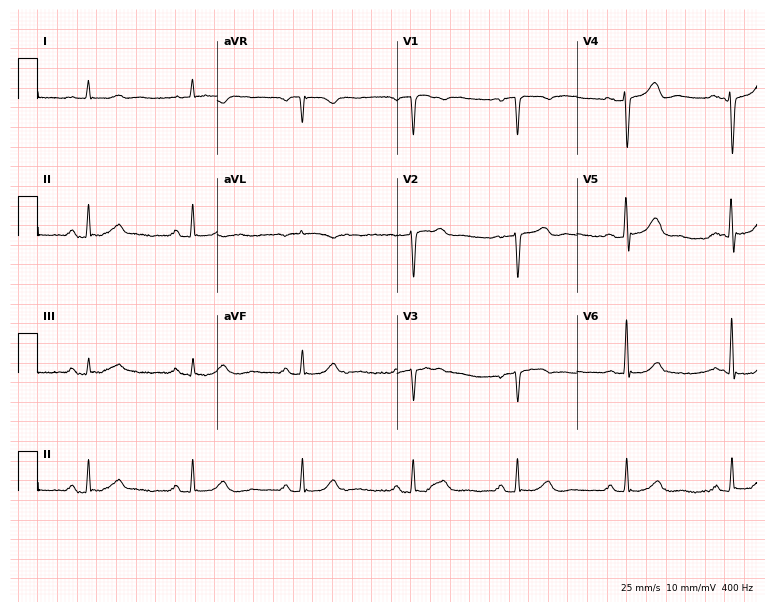
12-lead ECG from a 64-year-old man. No first-degree AV block, right bundle branch block, left bundle branch block, sinus bradycardia, atrial fibrillation or sinus tachycardia recorded for this tracing. Only these six findings were labelled.